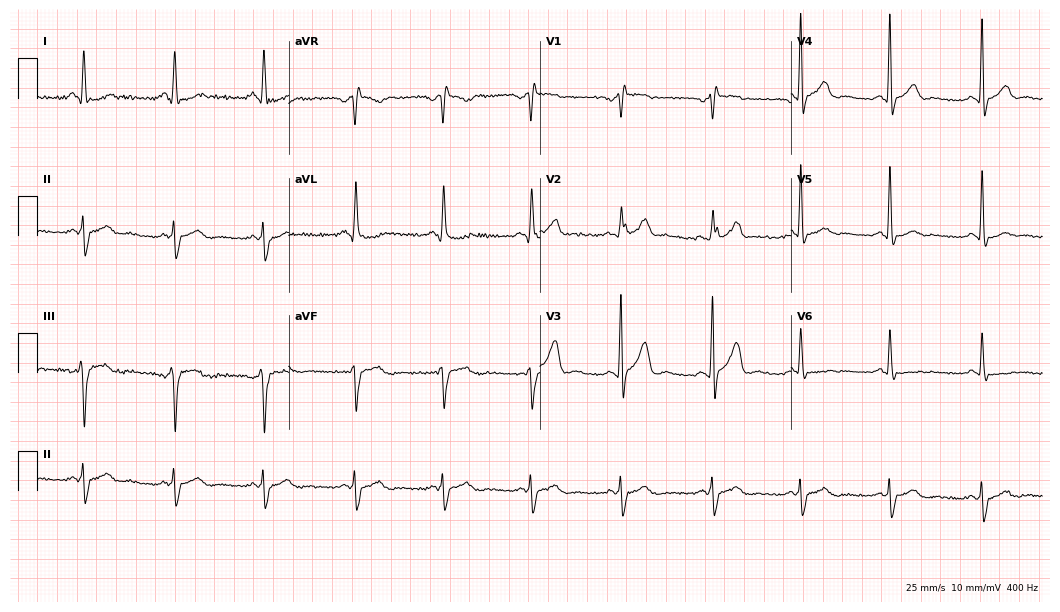
ECG — a 42-year-old female patient. Screened for six findings — first-degree AV block, right bundle branch block, left bundle branch block, sinus bradycardia, atrial fibrillation, sinus tachycardia — none is recorded. Findings outside these six are not listed.